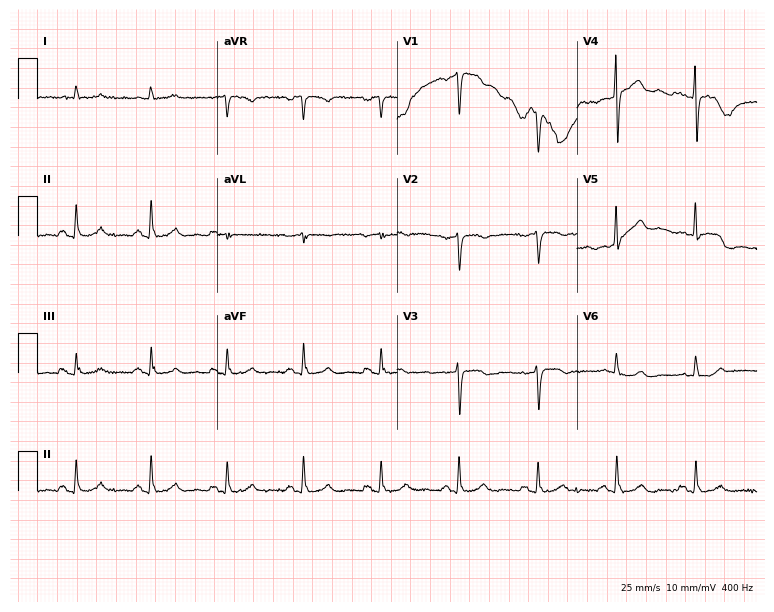
ECG (7.3-second recording at 400 Hz) — a male, 71 years old. Screened for six findings — first-degree AV block, right bundle branch block, left bundle branch block, sinus bradycardia, atrial fibrillation, sinus tachycardia — none is recorded.